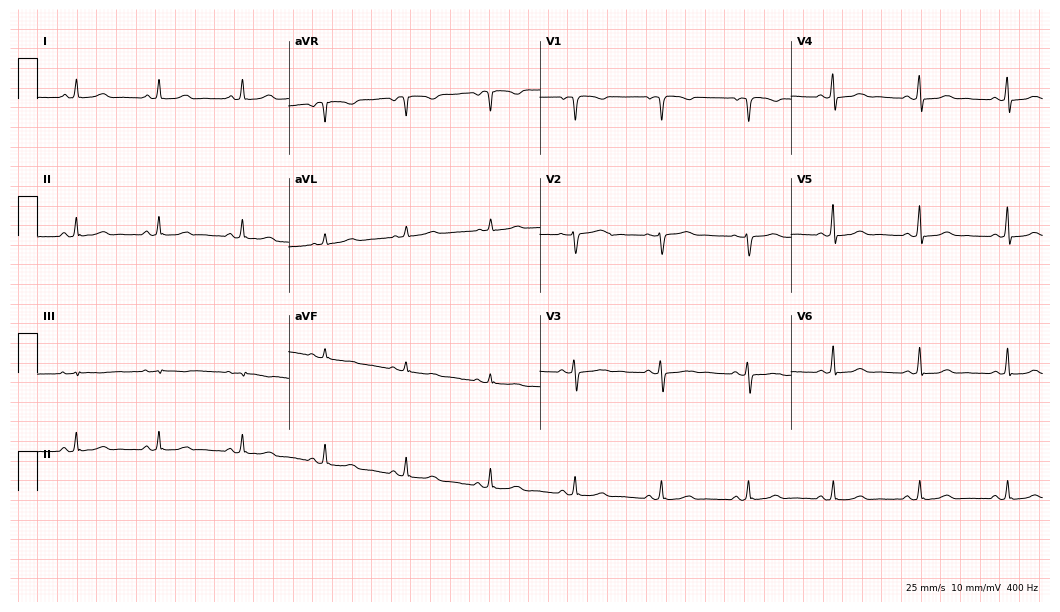
Resting 12-lead electrocardiogram. Patient: a 45-year-old female. Read as a normal ECG.